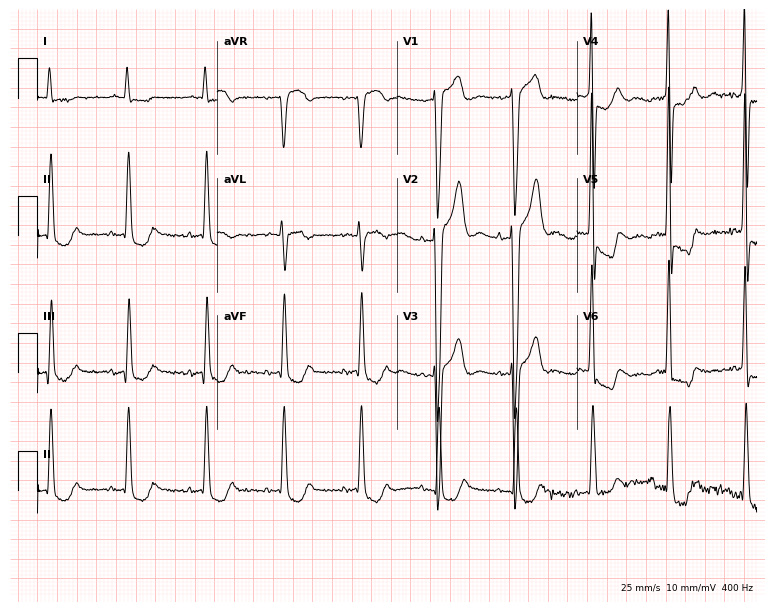
12-lead ECG from an 83-year-old female (7.3-second recording at 400 Hz). No first-degree AV block, right bundle branch block, left bundle branch block, sinus bradycardia, atrial fibrillation or sinus tachycardia recorded for this tracing.